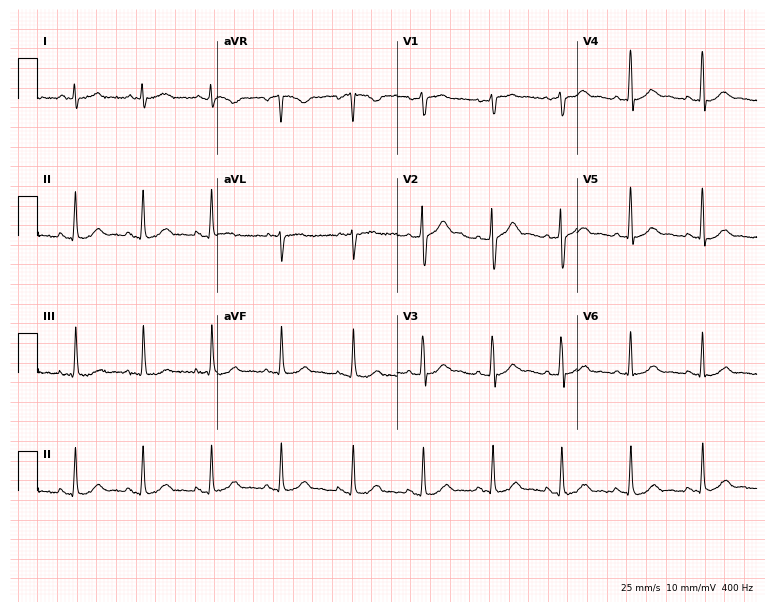
Standard 12-lead ECG recorded from a 47-year-old male (7.3-second recording at 400 Hz). None of these six findings is recorded: first-degree AV block, right bundle branch block, left bundle branch block, sinus bradycardia, atrial fibrillation, sinus tachycardia. Findings outside these six are not listed.